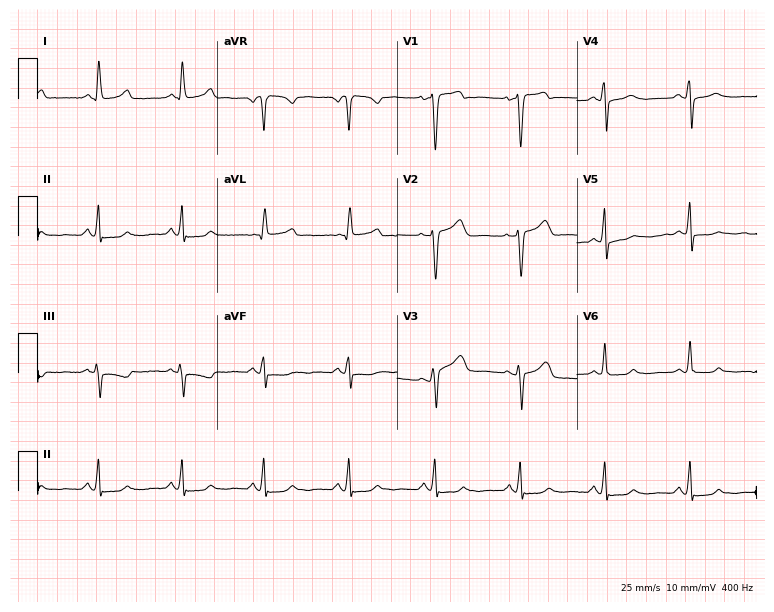
Electrocardiogram, a female, 47 years old. Of the six screened findings (first-degree AV block, right bundle branch block (RBBB), left bundle branch block (LBBB), sinus bradycardia, atrial fibrillation (AF), sinus tachycardia), none is recorded. Other findings, if any, are not listed.